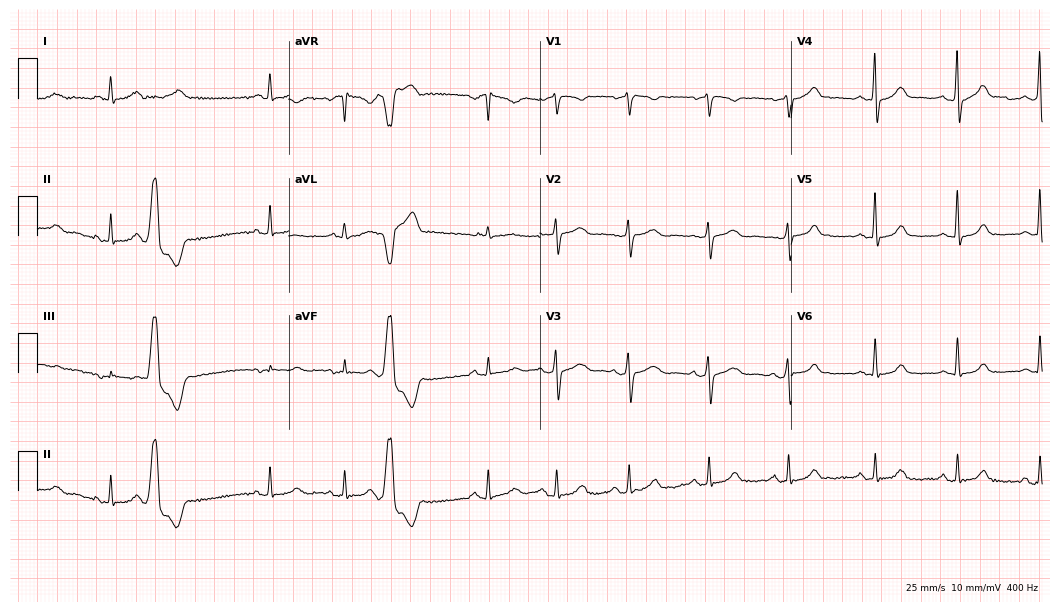
12-lead ECG from a female, 50 years old (10.2-second recording at 400 Hz). No first-degree AV block, right bundle branch block (RBBB), left bundle branch block (LBBB), sinus bradycardia, atrial fibrillation (AF) or sinus tachycardia recorded for this tracing. Other findings, if any, are not listed.